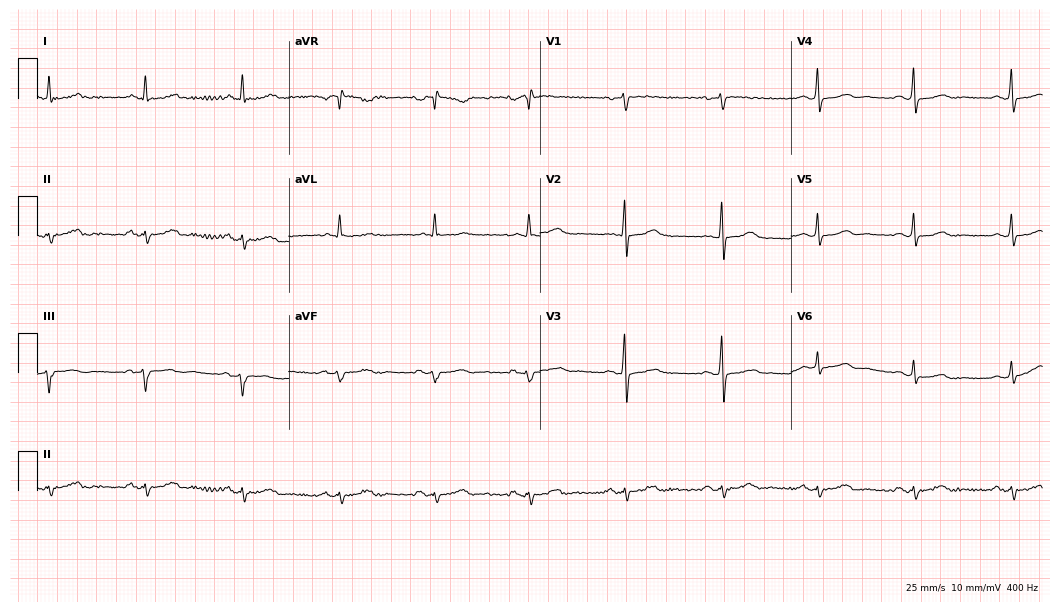
12-lead ECG from a female, 57 years old. No first-degree AV block, right bundle branch block (RBBB), left bundle branch block (LBBB), sinus bradycardia, atrial fibrillation (AF) or sinus tachycardia recorded for this tracing. Only these six findings were labelled.